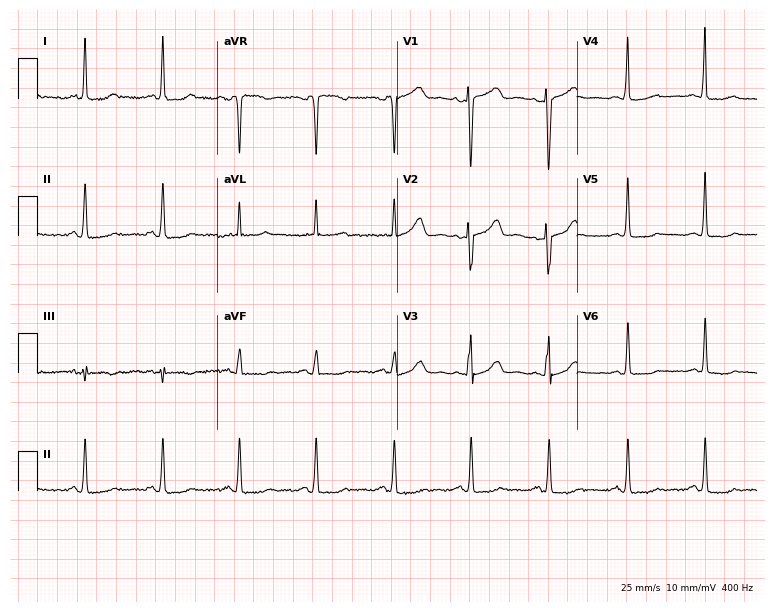
ECG (7.3-second recording at 400 Hz) — a female, 61 years old. Screened for six findings — first-degree AV block, right bundle branch block (RBBB), left bundle branch block (LBBB), sinus bradycardia, atrial fibrillation (AF), sinus tachycardia — none is recorded. Findings outside these six are not listed.